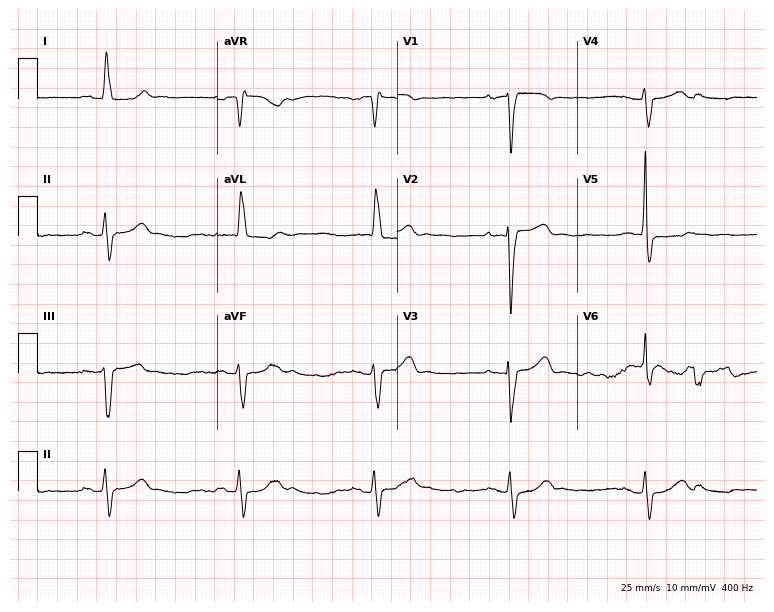
12-lead ECG from a 72-year-old female (7.3-second recording at 400 Hz). No first-degree AV block, right bundle branch block, left bundle branch block, sinus bradycardia, atrial fibrillation or sinus tachycardia recorded for this tracing. Only these six findings were labelled.